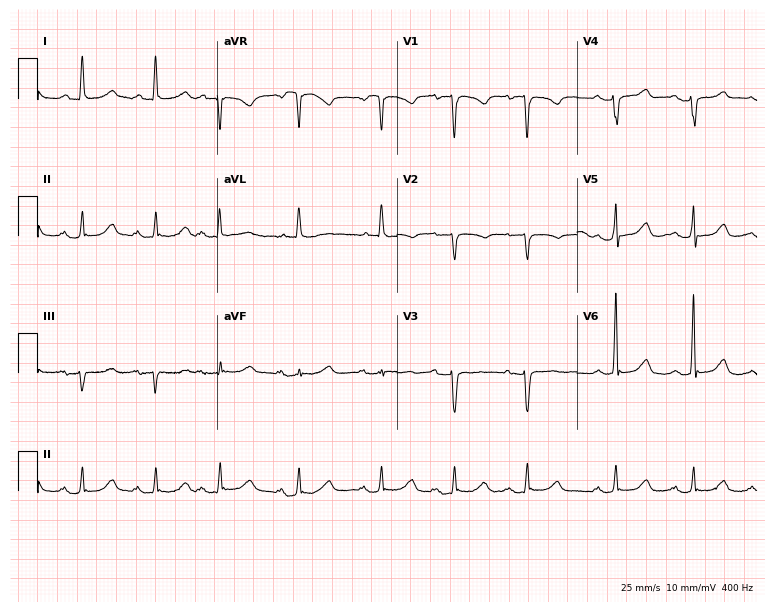
12-lead ECG from a 74-year-old female patient (7.3-second recording at 400 Hz). Recorded interpretation: within normal limits.